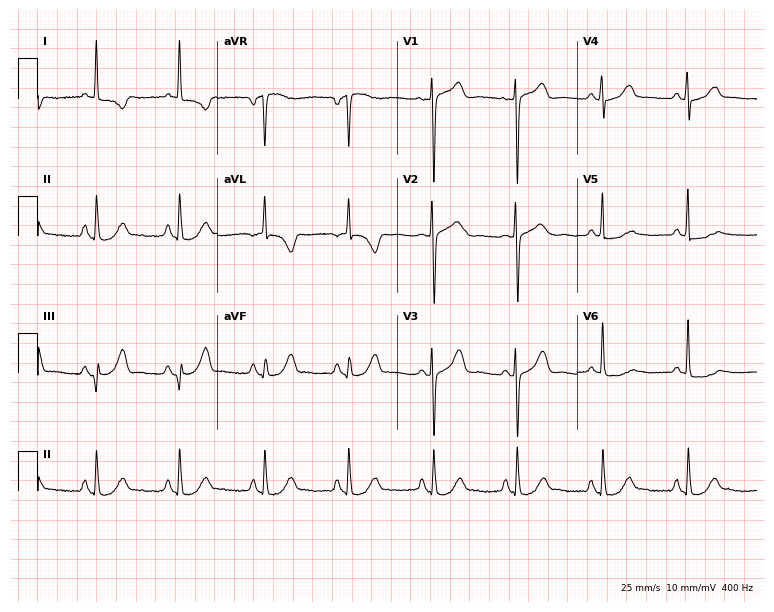
Standard 12-lead ECG recorded from a female patient, 69 years old. None of these six findings is recorded: first-degree AV block, right bundle branch block, left bundle branch block, sinus bradycardia, atrial fibrillation, sinus tachycardia. Only these six findings were labelled.